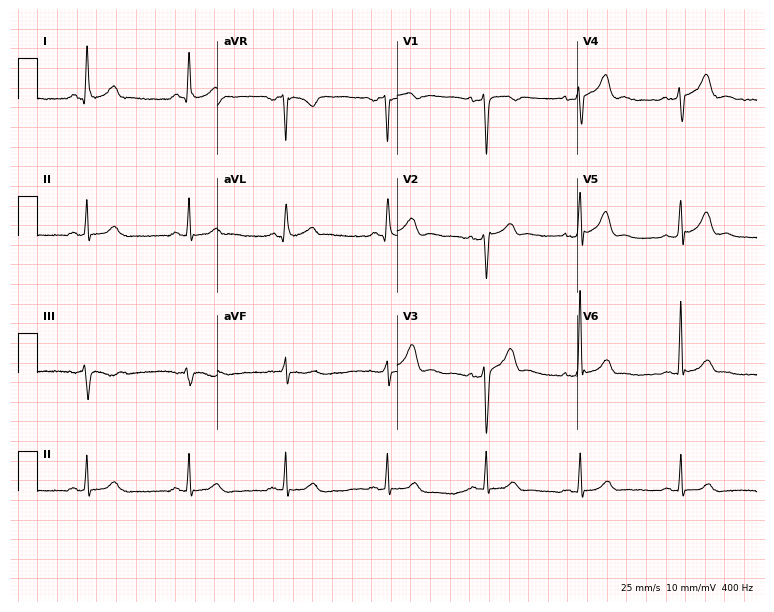
ECG — a 45-year-old male patient. Labelled as a normal ECG.